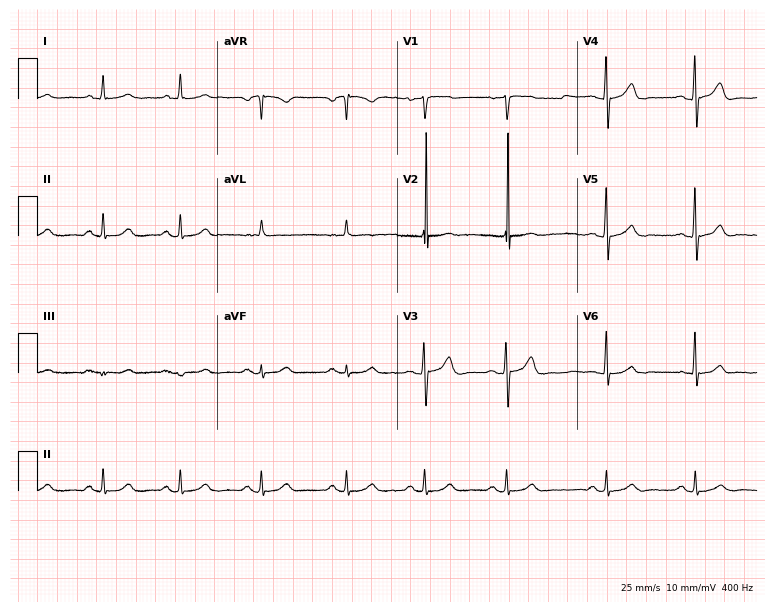
Standard 12-lead ECG recorded from a 70-year-old male patient (7.3-second recording at 400 Hz). None of these six findings is recorded: first-degree AV block, right bundle branch block (RBBB), left bundle branch block (LBBB), sinus bradycardia, atrial fibrillation (AF), sinus tachycardia. Only these six findings were labelled.